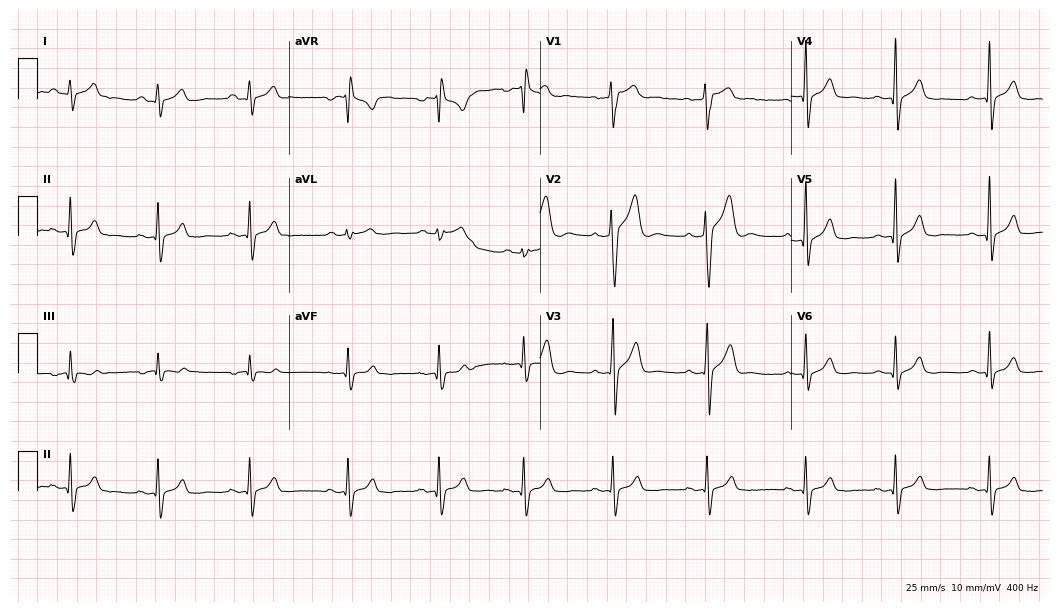
ECG — a 20-year-old male. Screened for six findings — first-degree AV block, right bundle branch block, left bundle branch block, sinus bradycardia, atrial fibrillation, sinus tachycardia — none is recorded. Other findings, if any, are not listed.